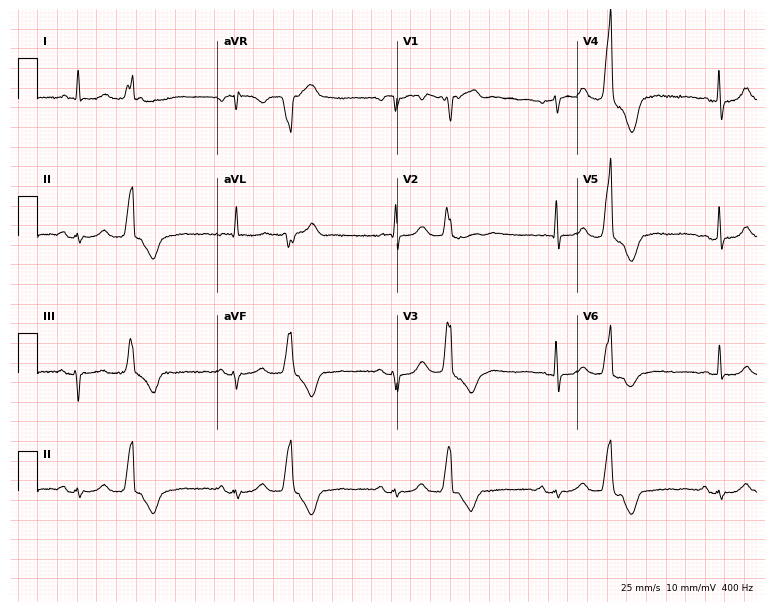
12-lead ECG from a male, 75 years old. No first-degree AV block, right bundle branch block, left bundle branch block, sinus bradycardia, atrial fibrillation or sinus tachycardia recorded for this tracing. Only these six findings were labelled.